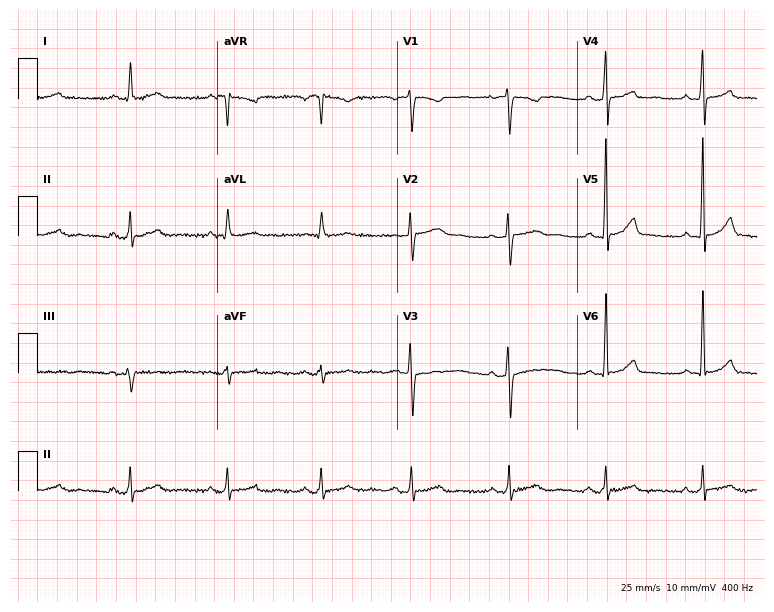
Resting 12-lead electrocardiogram. Patient: a 54-year-old female. Read as a normal ECG.